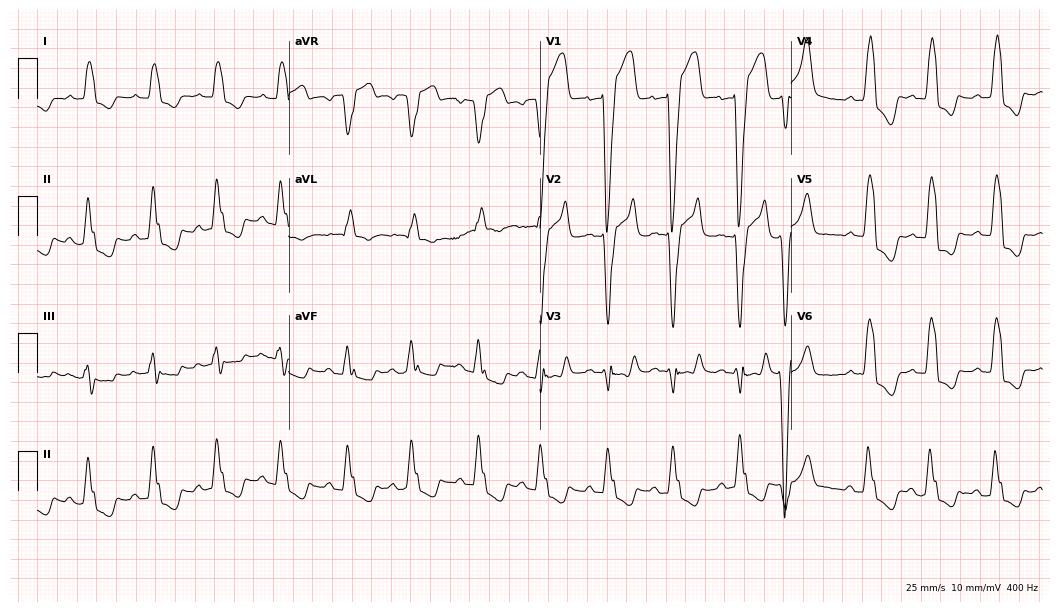
Standard 12-lead ECG recorded from a male patient, 74 years old (10.2-second recording at 400 Hz). The tracing shows left bundle branch block.